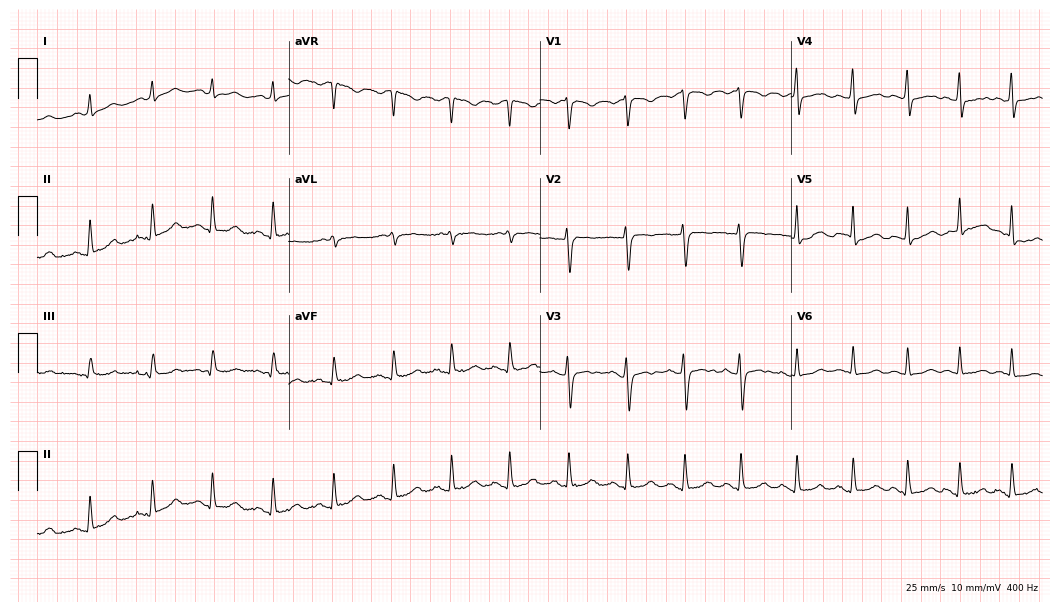
12-lead ECG (10.2-second recording at 400 Hz) from a female patient, 28 years old. Labelled as a normal ECG.